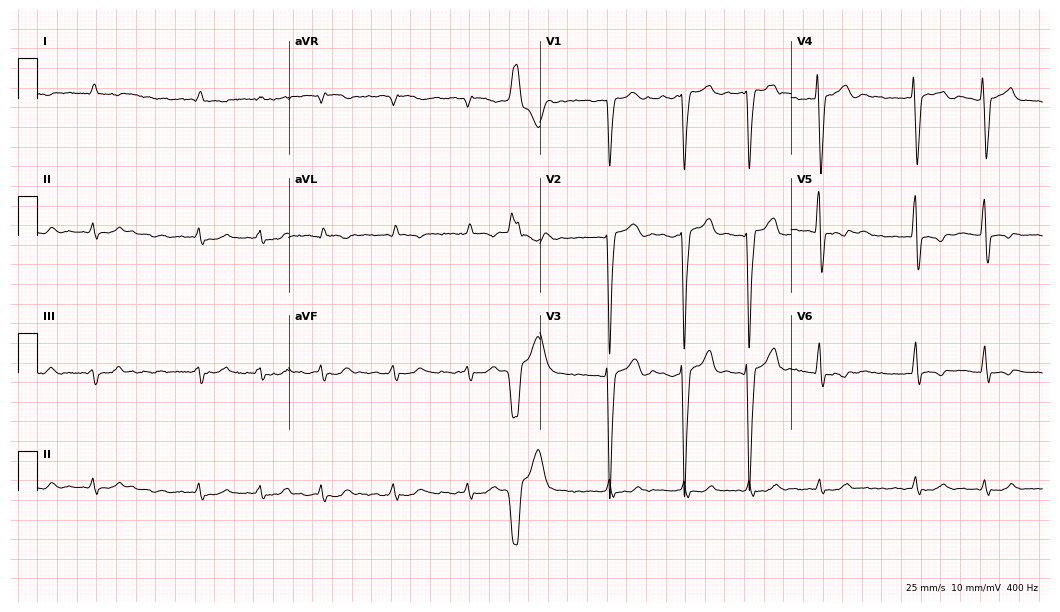
Electrocardiogram (10.2-second recording at 400 Hz), a 71-year-old woman. Interpretation includes atrial fibrillation.